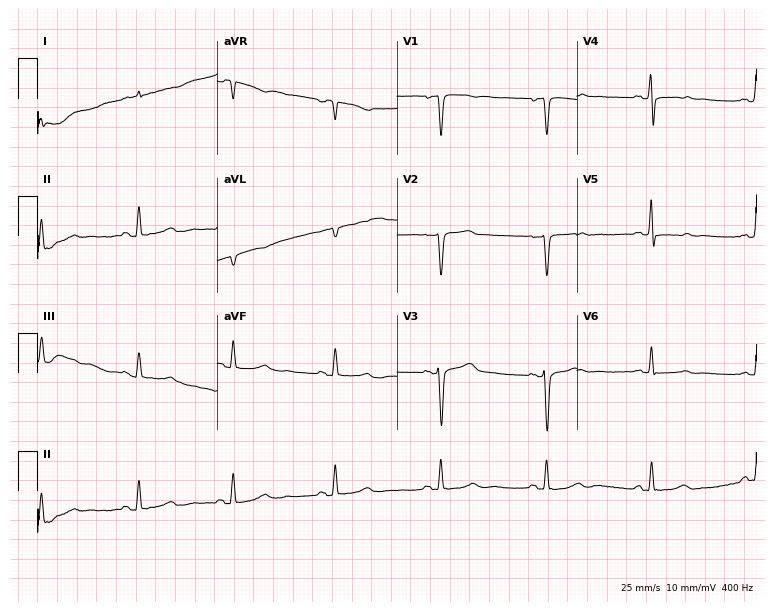
ECG (7.3-second recording at 400 Hz) — a 55-year-old woman. Screened for six findings — first-degree AV block, right bundle branch block, left bundle branch block, sinus bradycardia, atrial fibrillation, sinus tachycardia — none is recorded. Only these six findings were labelled.